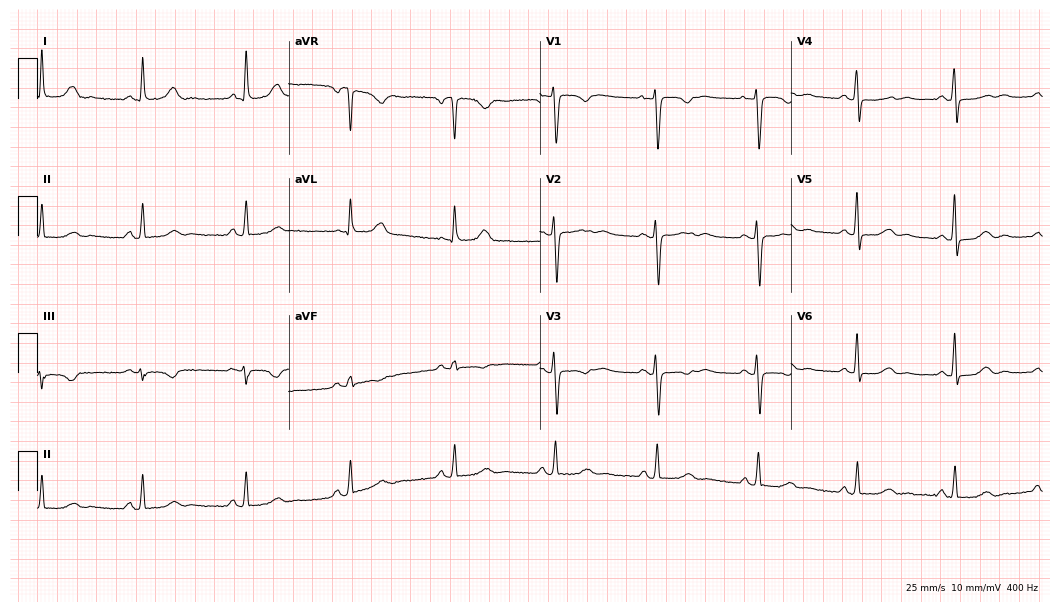
Resting 12-lead electrocardiogram. Patient: a female, 53 years old. Read as a normal ECG.